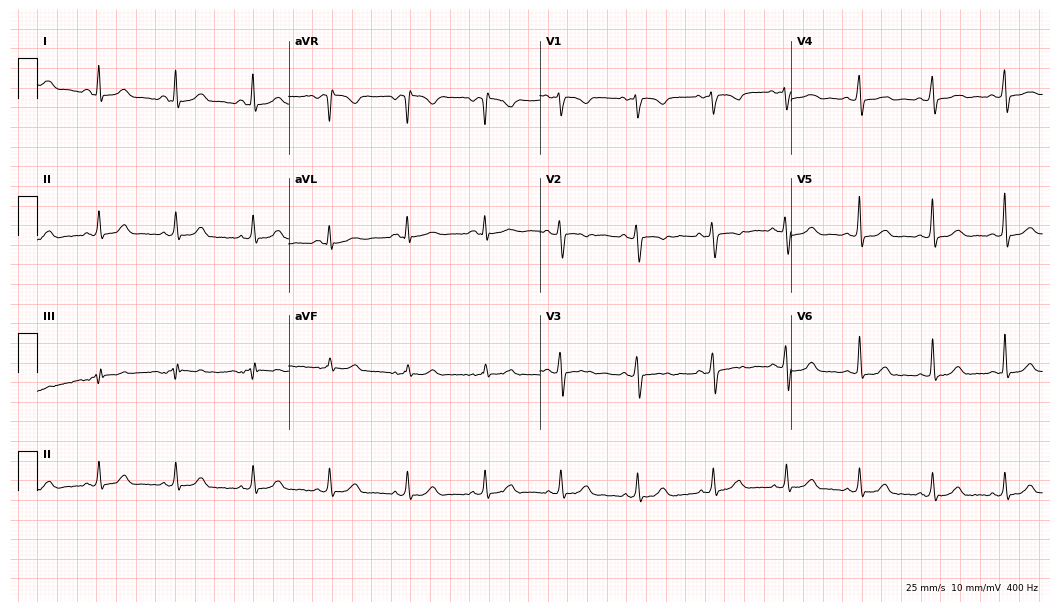
12-lead ECG from a woman, 29 years old. Recorded interpretation: within normal limits.